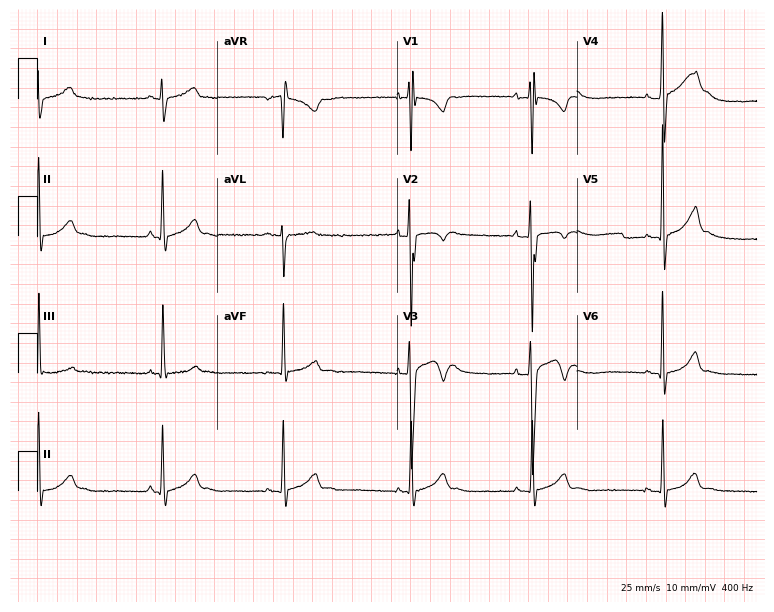
12-lead ECG (7.3-second recording at 400 Hz) from a 19-year-old male. Labelled as a normal ECG.